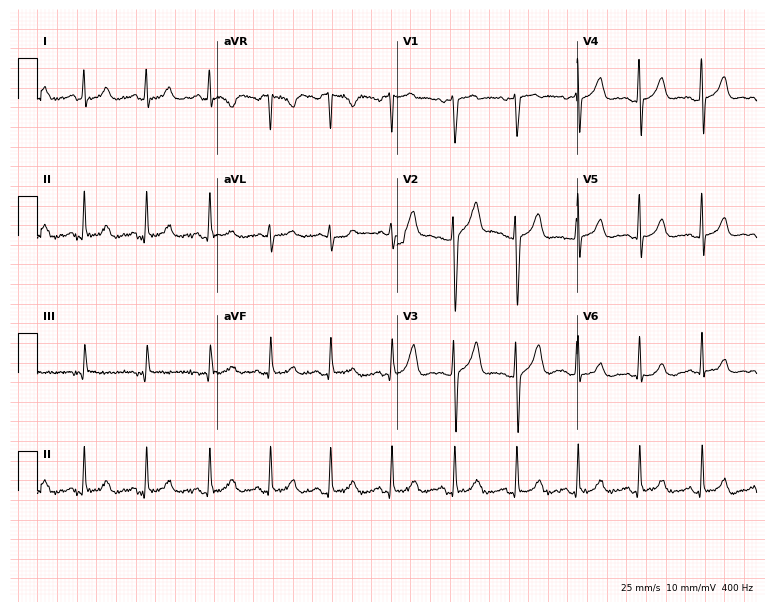
ECG — a 22-year-old woman. Labelled as a normal ECG.